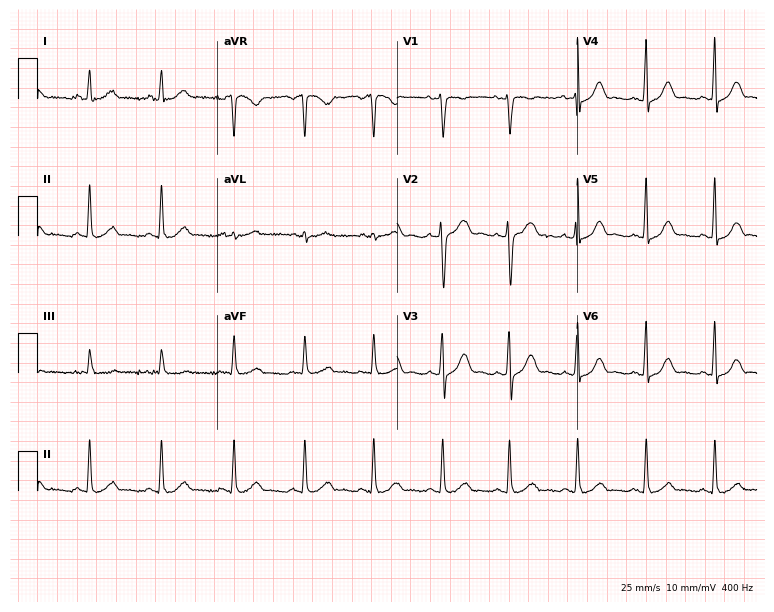
ECG — a 26-year-old female patient. Screened for six findings — first-degree AV block, right bundle branch block, left bundle branch block, sinus bradycardia, atrial fibrillation, sinus tachycardia — none is recorded.